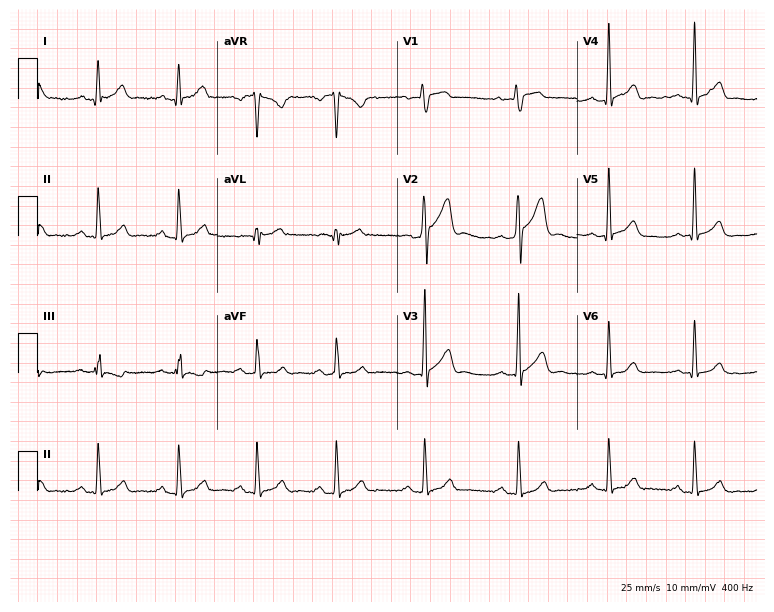
12-lead ECG from a male patient, 34 years old. Labelled as a normal ECG.